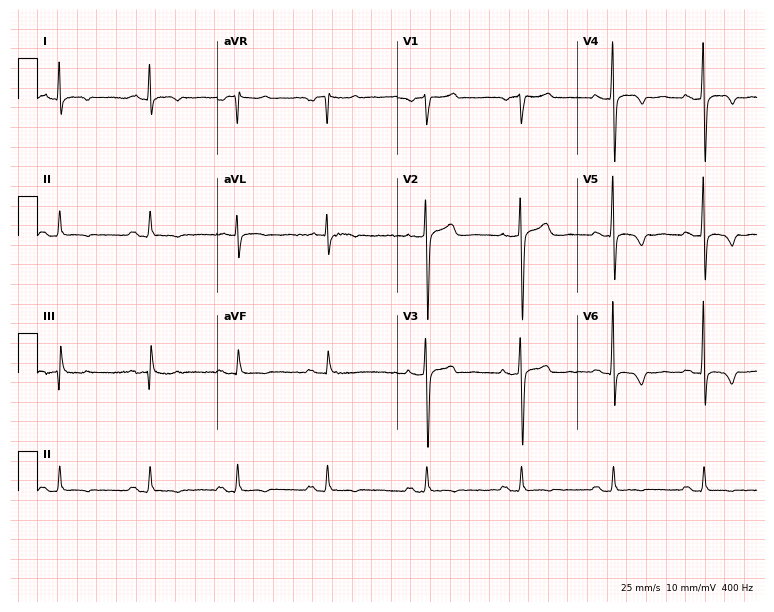
Standard 12-lead ECG recorded from a 46-year-old male patient (7.3-second recording at 400 Hz). None of these six findings is recorded: first-degree AV block, right bundle branch block, left bundle branch block, sinus bradycardia, atrial fibrillation, sinus tachycardia. Only these six findings were labelled.